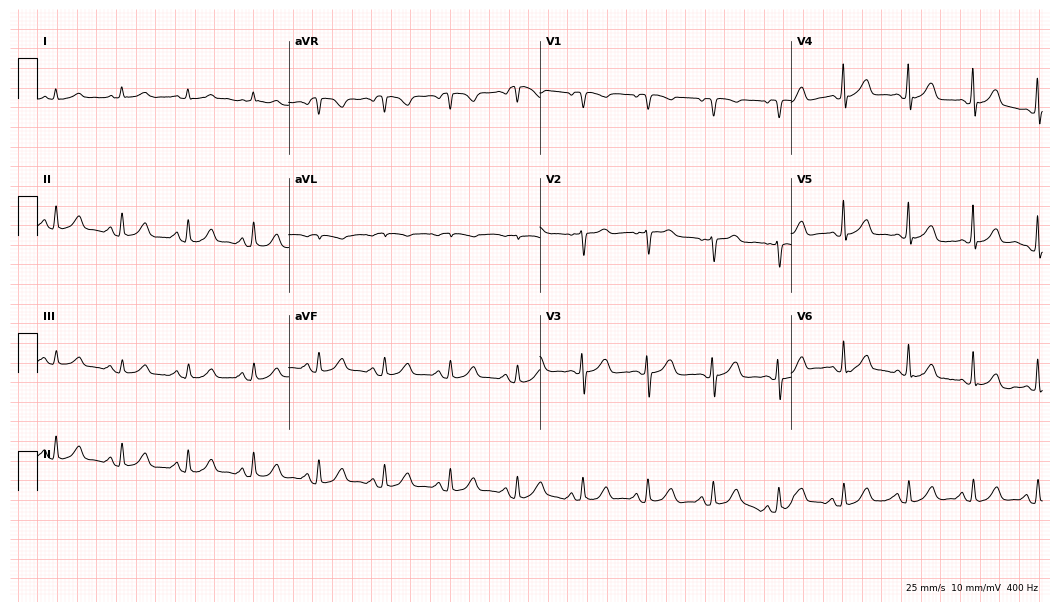
Resting 12-lead electrocardiogram (10.2-second recording at 400 Hz). Patient: a 63-year-old man. Read as a normal ECG.